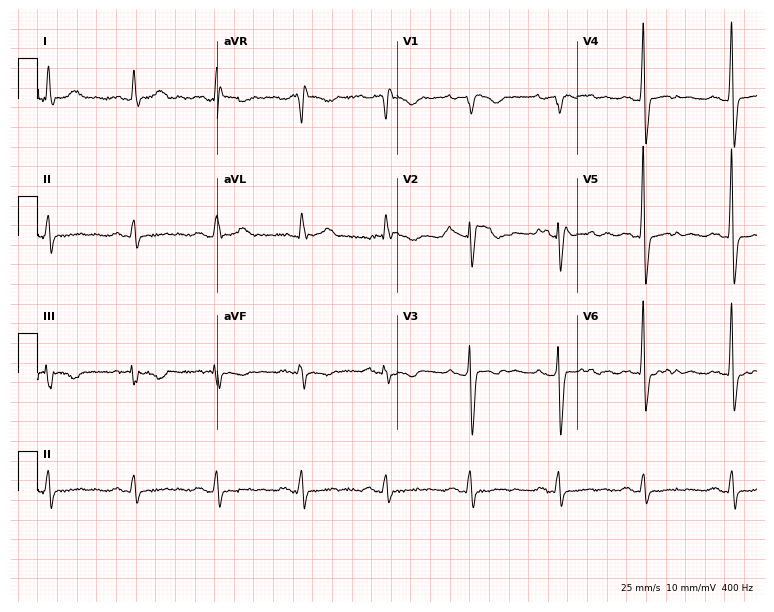
Electrocardiogram, a 36-year-old woman. Of the six screened findings (first-degree AV block, right bundle branch block, left bundle branch block, sinus bradycardia, atrial fibrillation, sinus tachycardia), none is recorded.